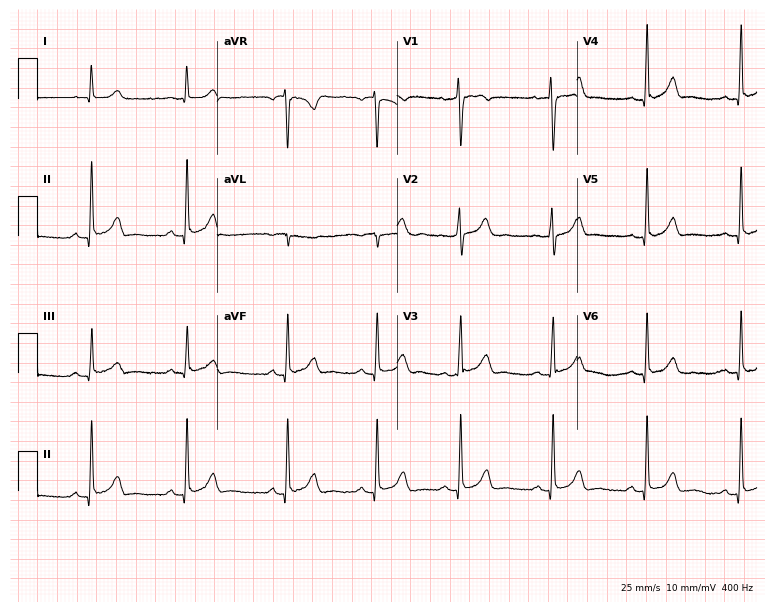
Resting 12-lead electrocardiogram. Patient: a woman, 21 years old. None of these six findings is recorded: first-degree AV block, right bundle branch block (RBBB), left bundle branch block (LBBB), sinus bradycardia, atrial fibrillation (AF), sinus tachycardia. Other findings, if any, are not listed.